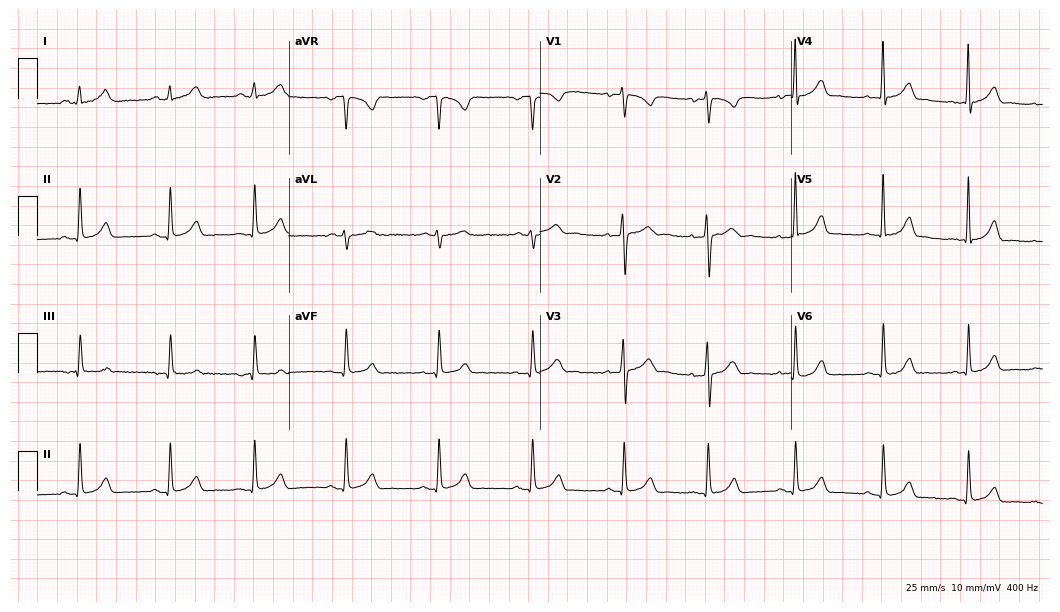
Resting 12-lead electrocardiogram (10.2-second recording at 400 Hz). Patient: a female, 23 years old. None of these six findings is recorded: first-degree AV block, right bundle branch block, left bundle branch block, sinus bradycardia, atrial fibrillation, sinus tachycardia.